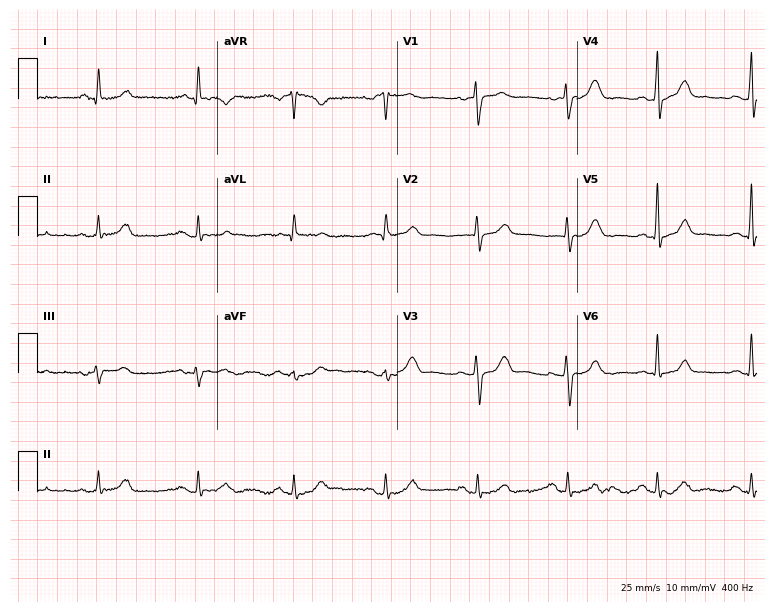
12-lead ECG from a 57-year-old woman (7.3-second recording at 400 Hz). Recorded interpretation: within normal limits.